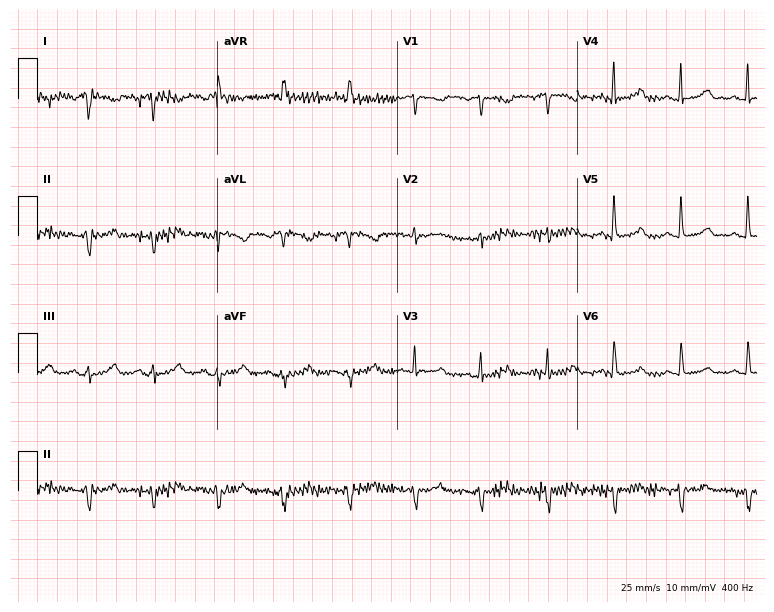
12-lead ECG from a woman, 62 years old (7.3-second recording at 400 Hz). No first-degree AV block, right bundle branch block, left bundle branch block, sinus bradycardia, atrial fibrillation or sinus tachycardia recorded for this tracing. Findings outside these six are not listed.